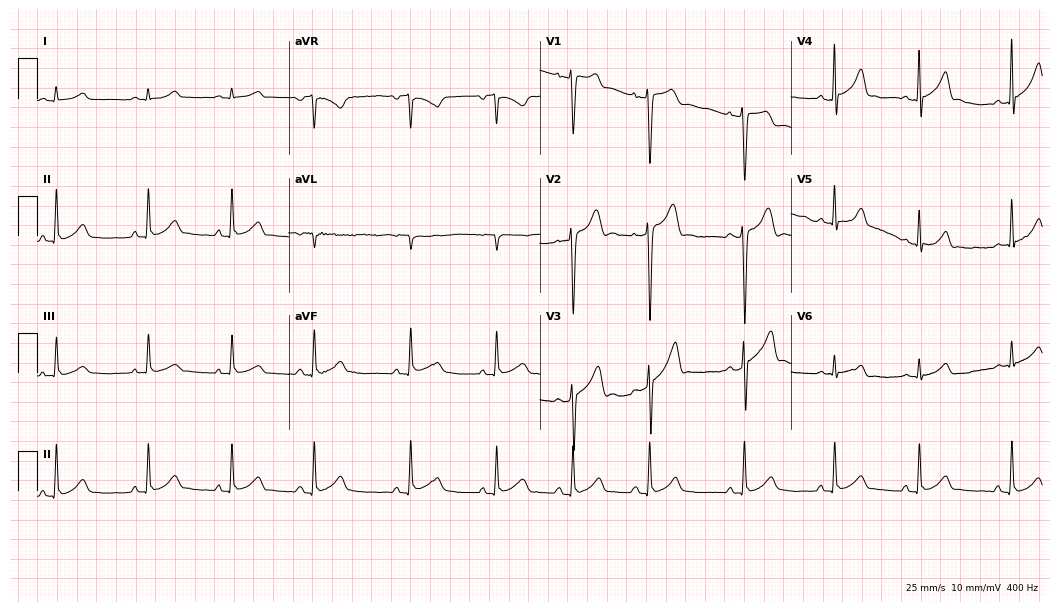
ECG (10.2-second recording at 400 Hz) — a man, 17 years old. Labelled as a normal ECG.